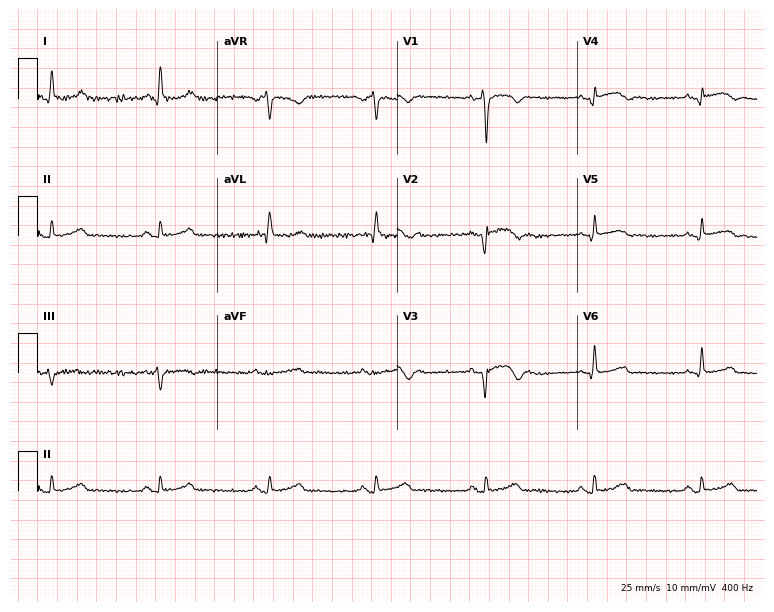
12-lead ECG from a male patient, 59 years old (7.3-second recording at 400 Hz). No first-degree AV block, right bundle branch block, left bundle branch block, sinus bradycardia, atrial fibrillation or sinus tachycardia recorded for this tracing.